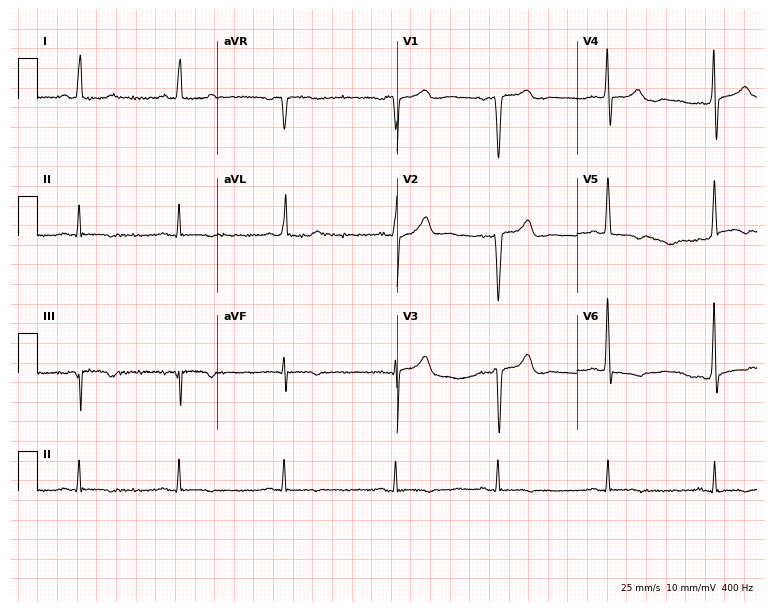
ECG — a man, 76 years old. Screened for six findings — first-degree AV block, right bundle branch block (RBBB), left bundle branch block (LBBB), sinus bradycardia, atrial fibrillation (AF), sinus tachycardia — none is recorded. Only these six findings were labelled.